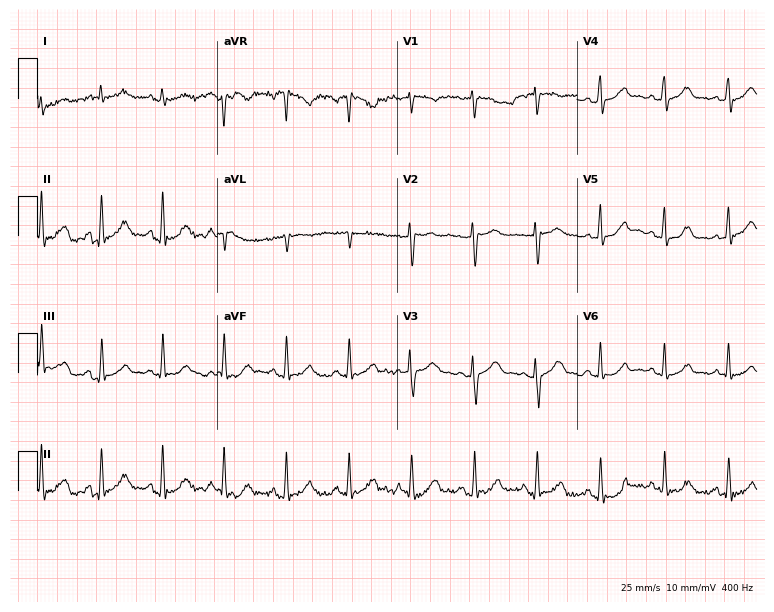
12-lead ECG from a 52-year-old woman. Labelled as a normal ECG.